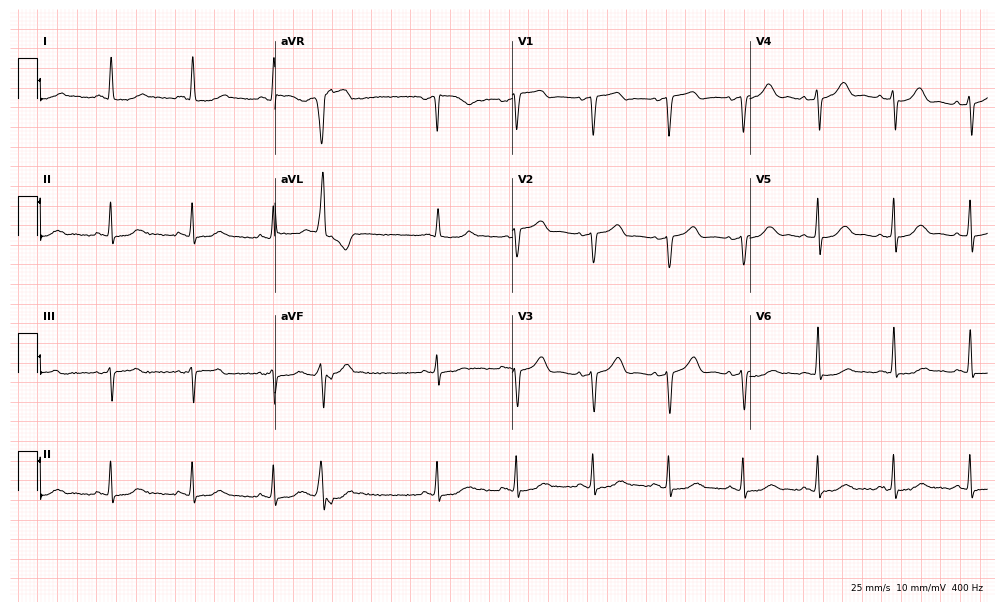
12-lead ECG from a woman, 62 years old (9.7-second recording at 400 Hz). No first-degree AV block, right bundle branch block, left bundle branch block, sinus bradycardia, atrial fibrillation or sinus tachycardia recorded for this tracing.